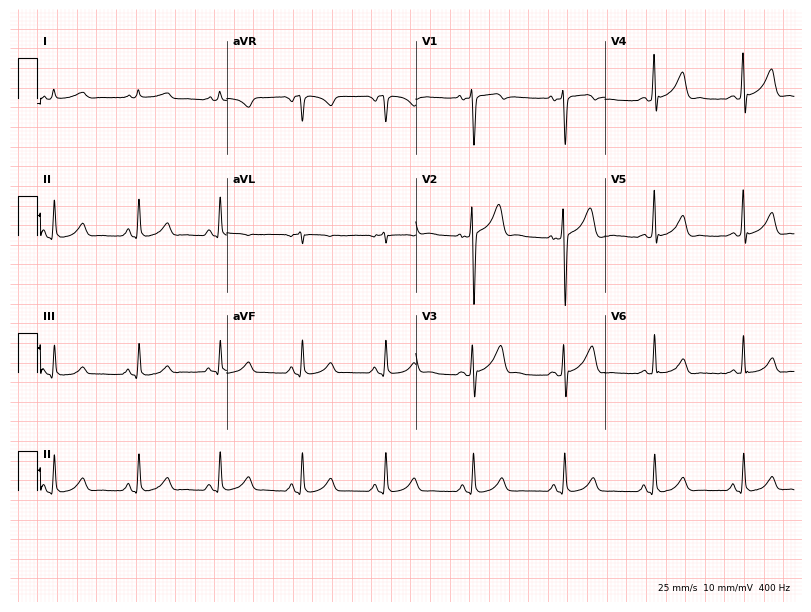
12-lead ECG from a 45-year-old man. Labelled as a normal ECG.